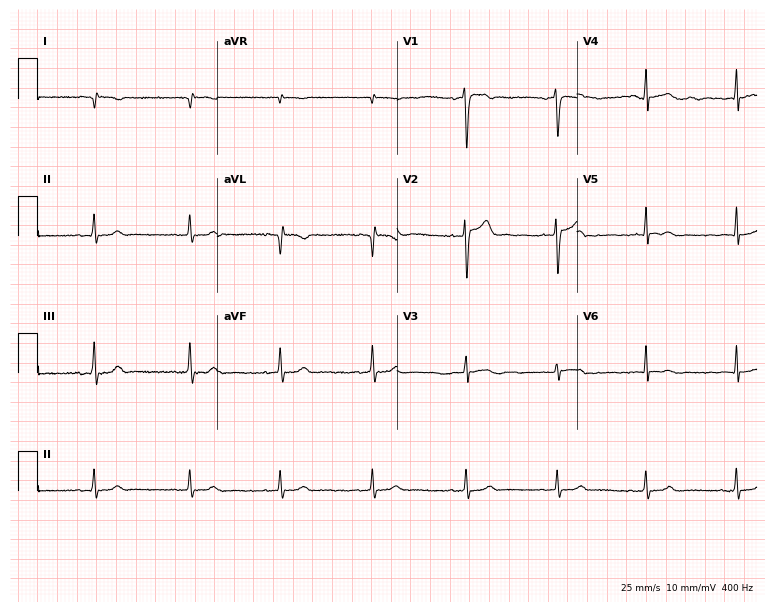
12-lead ECG (7.3-second recording at 400 Hz) from a 35-year-old male. Screened for six findings — first-degree AV block, right bundle branch block, left bundle branch block, sinus bradycardia, atrial fibrillation, sinus tachycardia — none is recorded. Other findings, if any, are not listed.